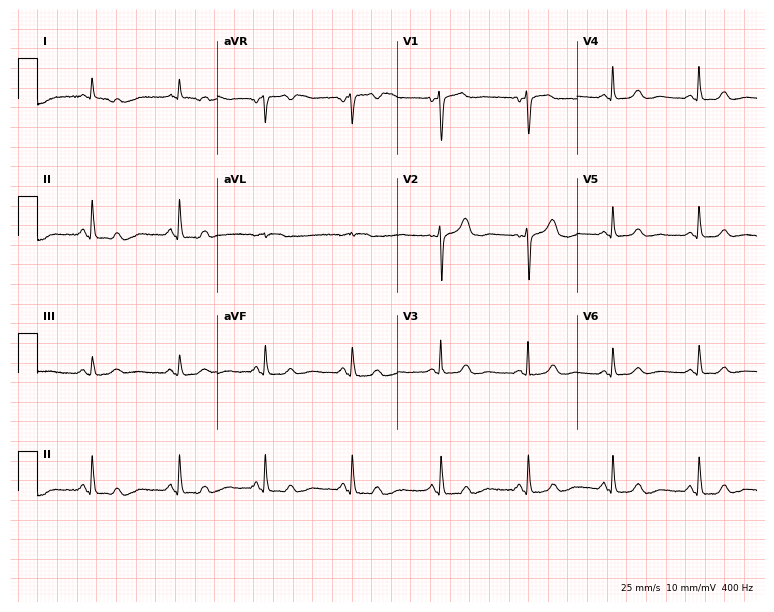
ECG — a female, 61 years old. Labelled as a normal ECG.